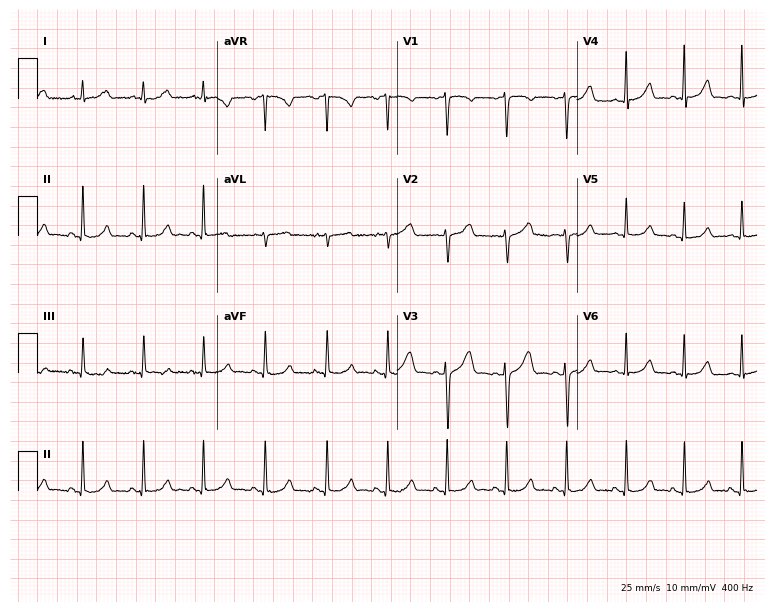
Resting 12-lead electrocardiogram. Patient: a female, 27 years old. Read as a normal ECG.